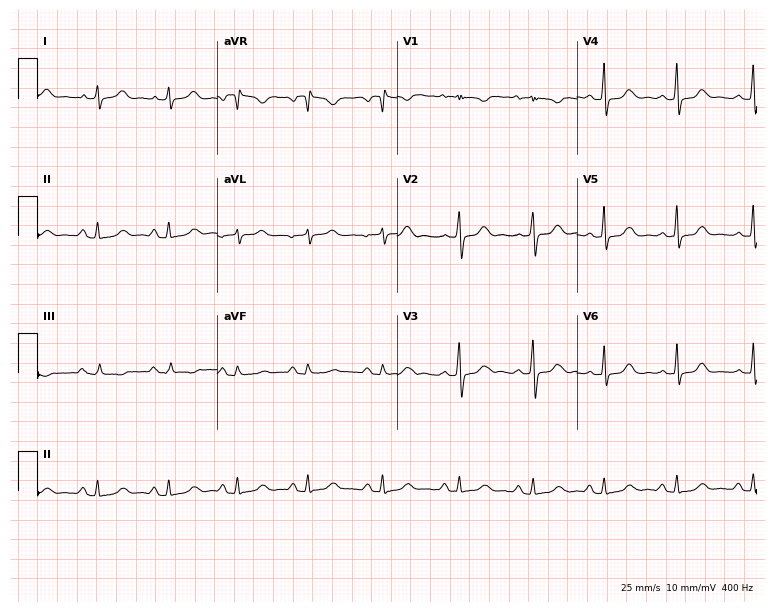
ECG (7.3-second recording at 400 Hz) — a female, 31 years old. Screened for six findings — first-degree AV block, right bundle branch block, left bundle branch block, sinus bradycardia, atrial fibrillation, sinus tachycardia — none is recorded.